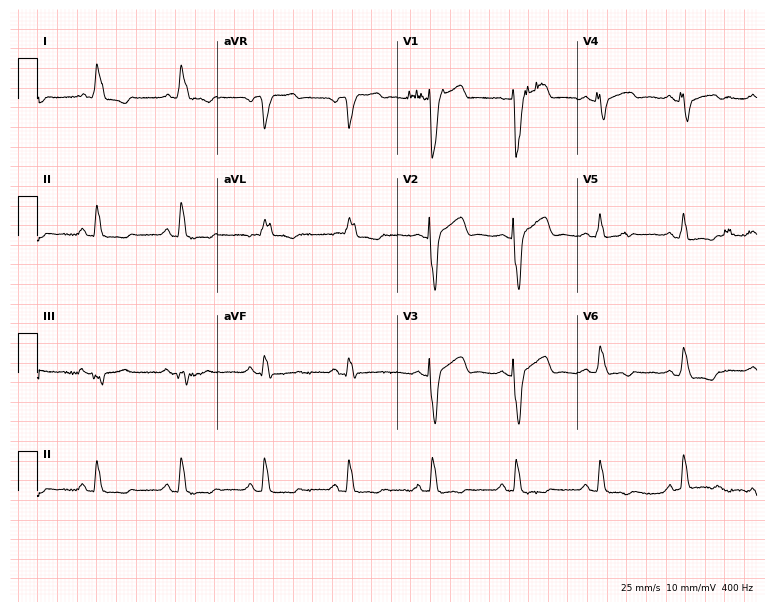
12-lead ECG from a 78-year-old woman (7.3-second recording at 400 Hz). No first-degree AV block, right bundle branch block, left bundle branch block, sinus bradycardia, atrial fibrillation or sinus tachycardia recorded for this tracing. Only these six findings were labelled.